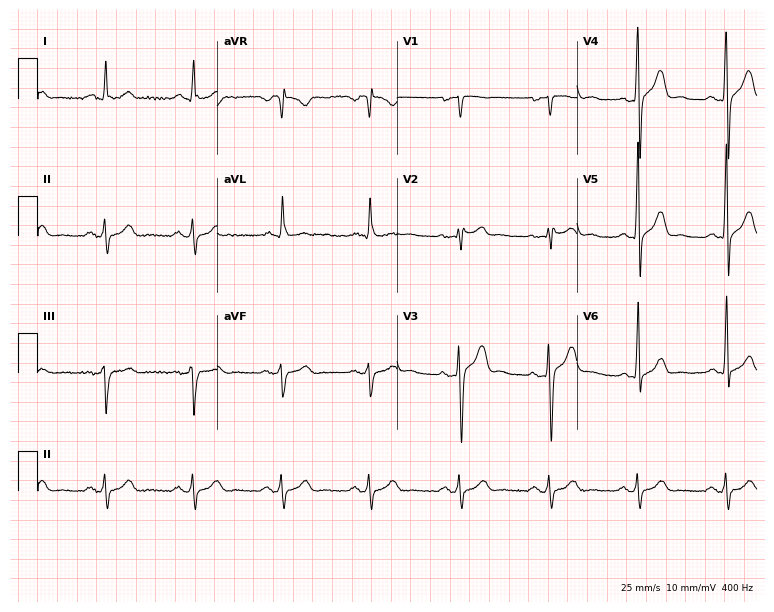
Electrocardiogram, a male patient, 34 years old. Overall reading on record: normal ECG.